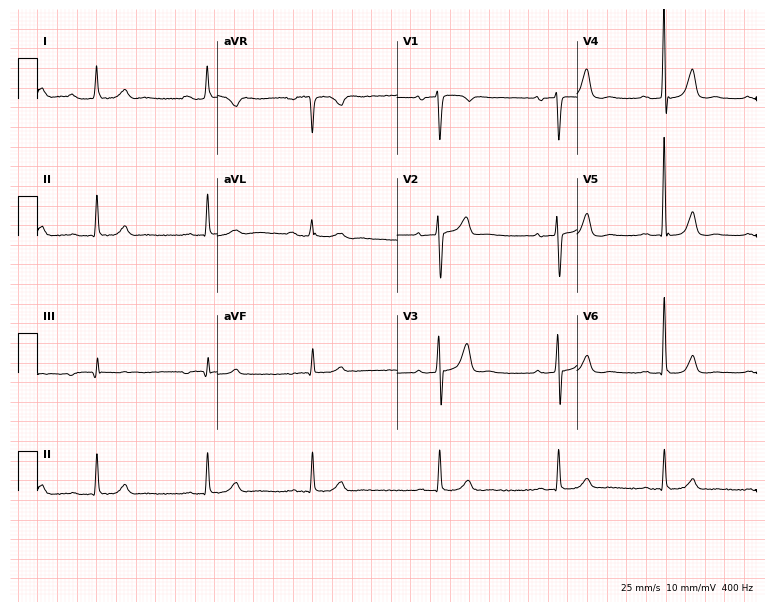
12-lead ECG from a man, 75 years old. No first-degree AV block, right bundle branch block, left bundle branch block, sinus bradycardia, atrial fibrillation or sinus tachycardia recorded for this tracing. Findings outside these six are not listed.